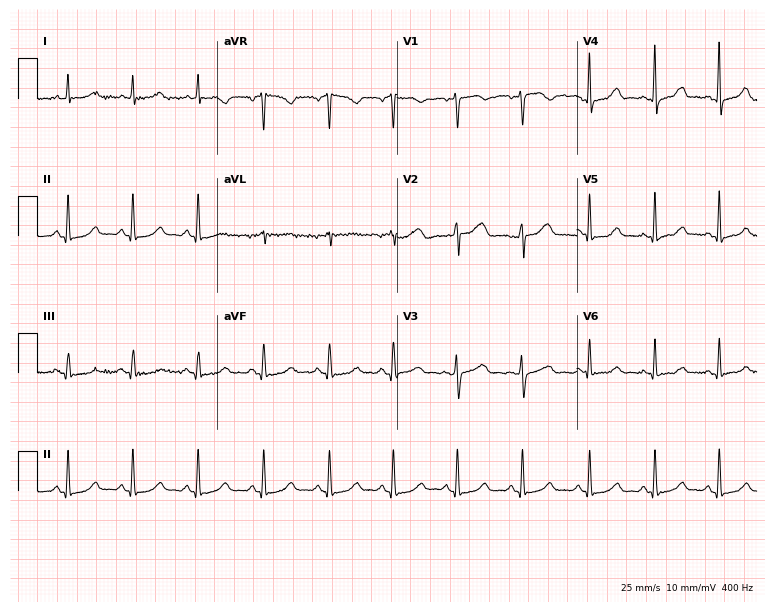
Standard 12-lead ECG recorded from a 40-year-old woman. Read as a normal ECG.